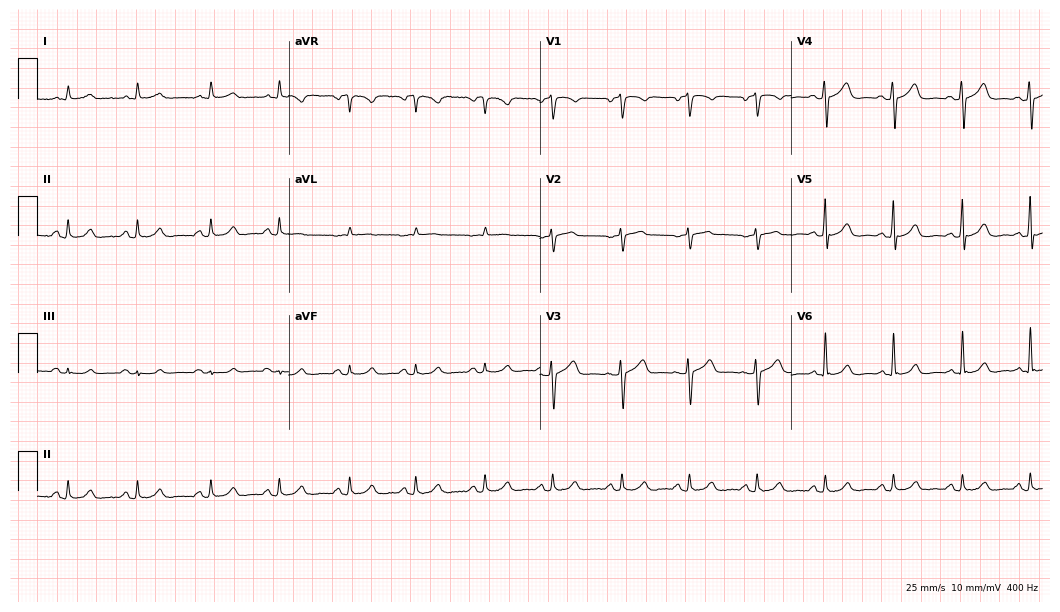
12-lead ECG (10.2-second recording at 400 Hz) from a male patient, 68 years old. Labelled as a normal ECG.